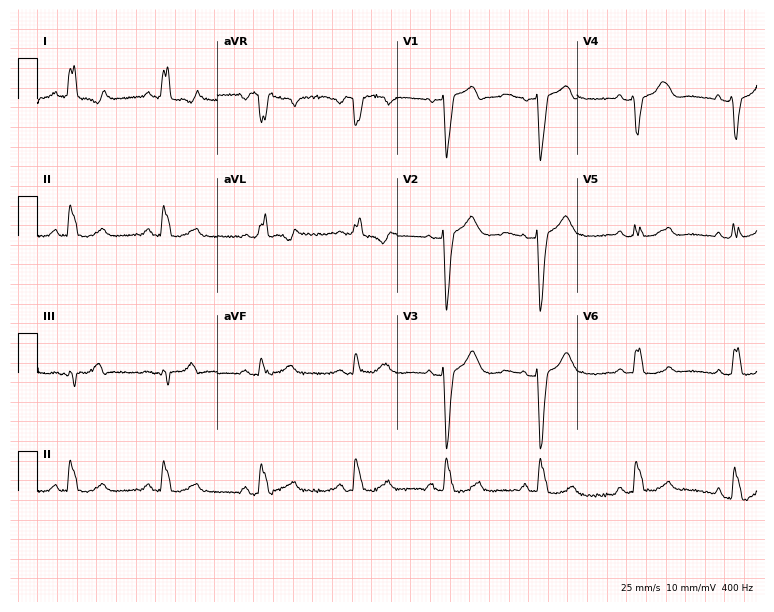
12-lead ECG from a woman, 55 years old (7.3-second recording at 400 Hz). No first-degree AV block, right bundle branch block, left bundle branch block, sinus bradycardia, atrial fibrillation or sinus tachycardia recorded for this tracing. Other findings, if any, are not listed.